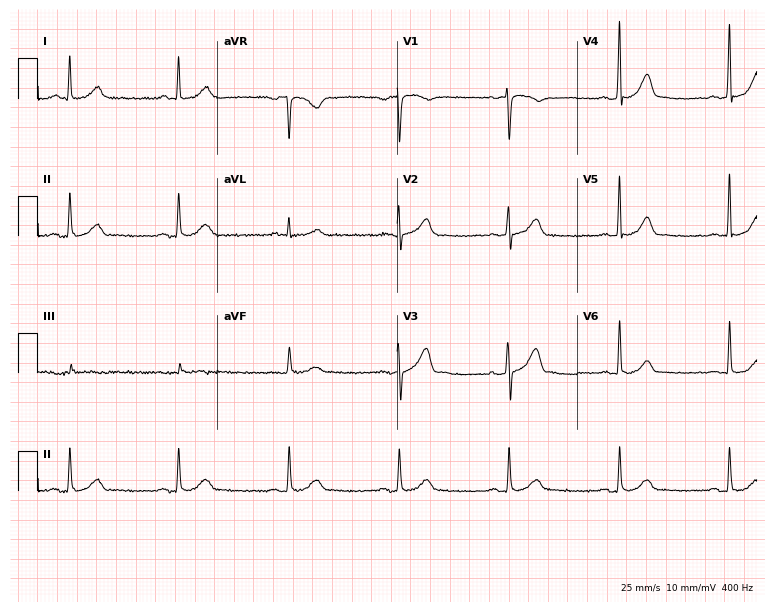
Electrocardiogram, a 59-year-old male. Overall reading on record: normal ECG.